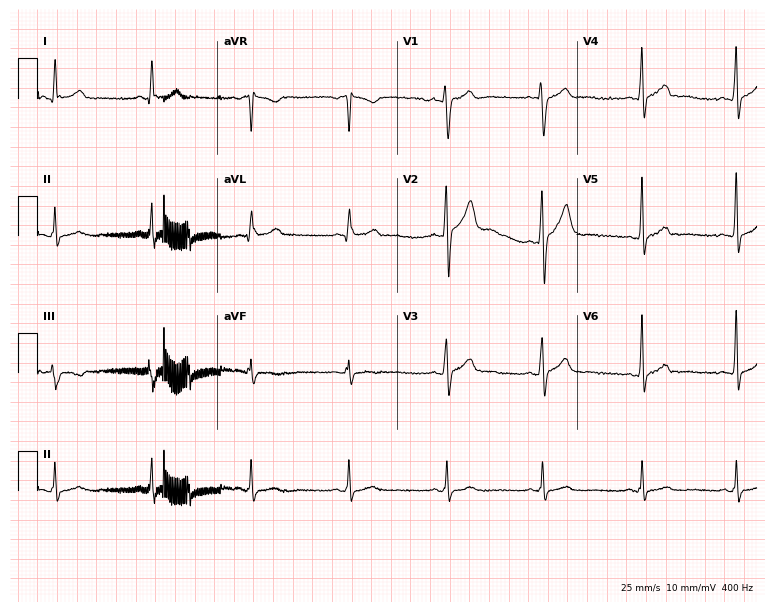
Electrocardiogram, a 30-year-old man. Overall reading on record: normal ECG.